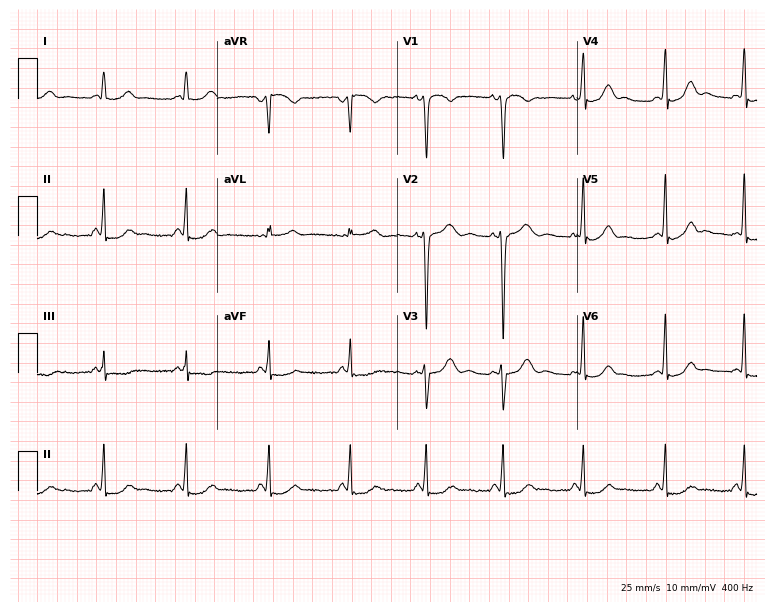
Standard 12-lead ECG recorded from a woman, 28 years old. Read as a normal ECG.